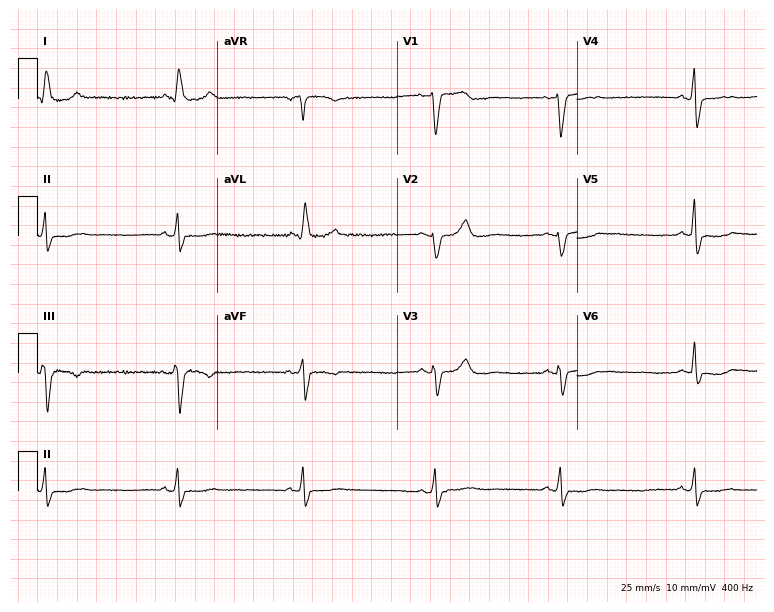
Electrocardiogram (7.3-second recording at 400 Hz), a female patient, 69 years old. Interpretation includes right bundle branch block, left bundle branch block, sinus bradycardia (a sinus rate of 50 beats per minute or less).